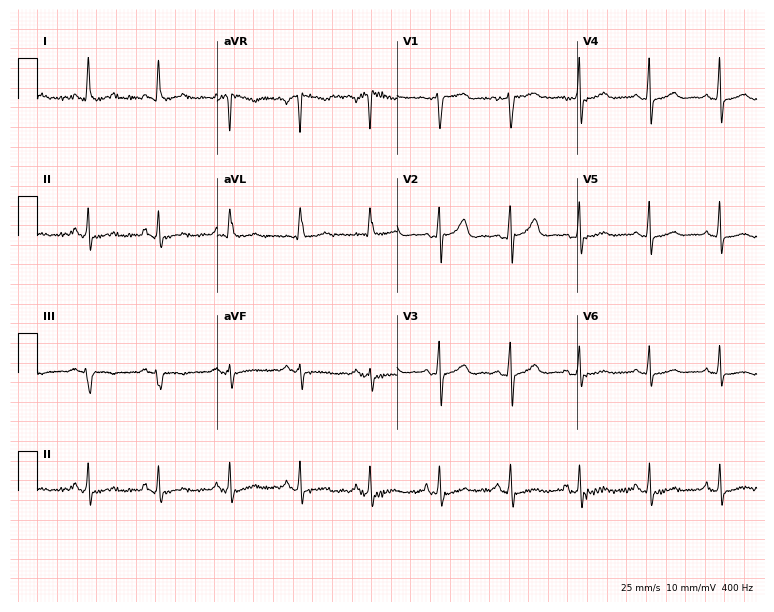
12-lead ECG from a 56-year-old man. Recorded interpretation: within normal limits.